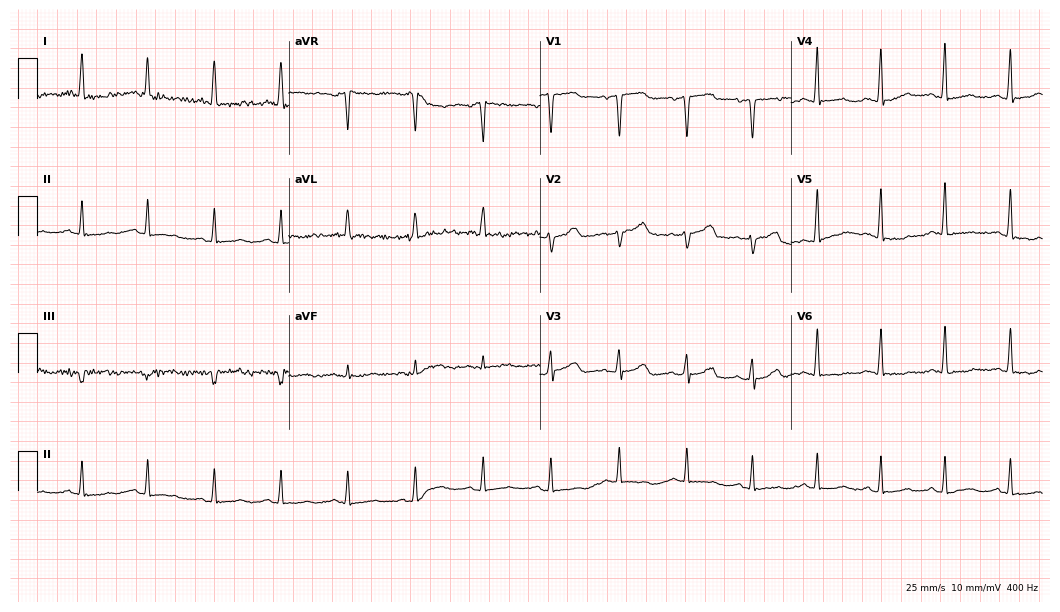
Resting 12-lead electrocardiogram. Patient: a 43-year-old woman. None of these six findings is recorded: first-degree AV block, right bundle branch block (RBBB), left bundle branch block (LBBB), sinus bradycardia, atrial fibrillation (AF), sinus tachycardia.